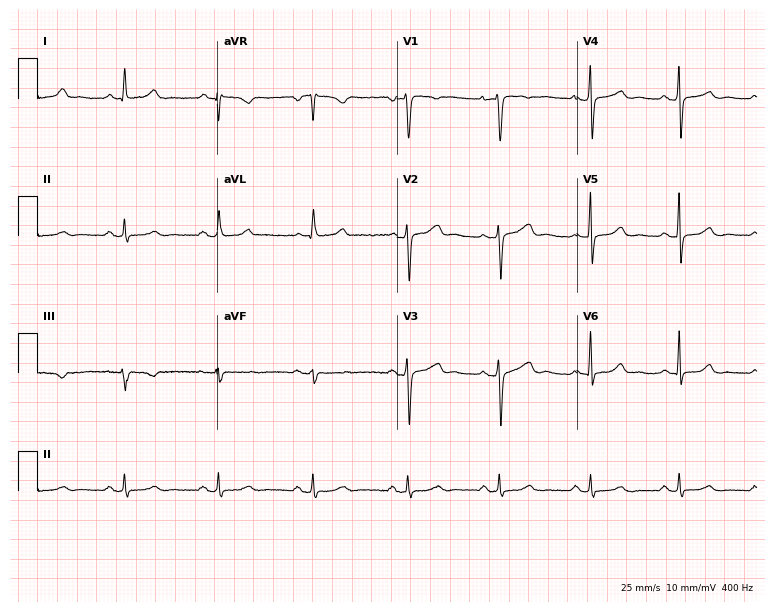
Electrocardiogram, a female, 46 years old. Overall reading on record: normal ECG.